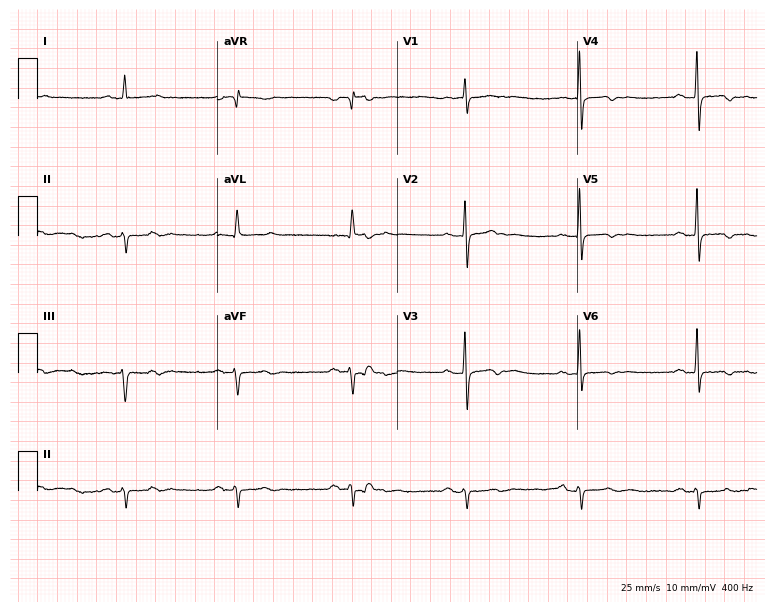
ECG (7.3-second recording at 400 Hz) — a male patient, 70 years old. Screened for six findings — first-degree AV block, right bundle branch block, left bundle branch block, sinus bradycardia, atrial fibrillation, sinus tachycardia — none is recorded.